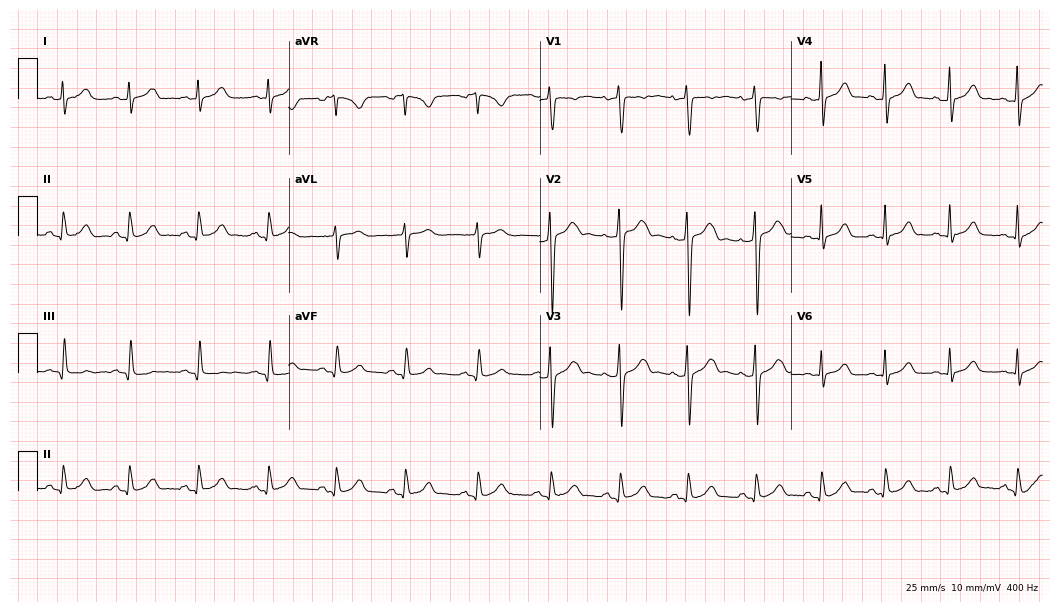
Resting 12-lead electrocardiogram (10.2-second recording at 400 Hz). Patient: a male, 31 years old. Read as a normal ECG.